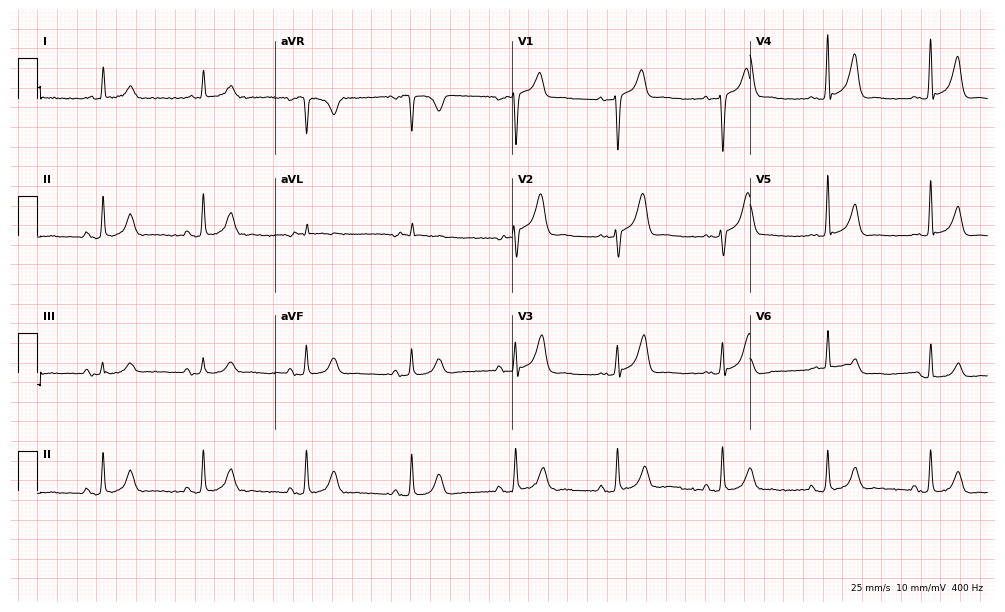
Electrocardiogram, an 80-year-old male patient. Overall reading on record: normal ECG.